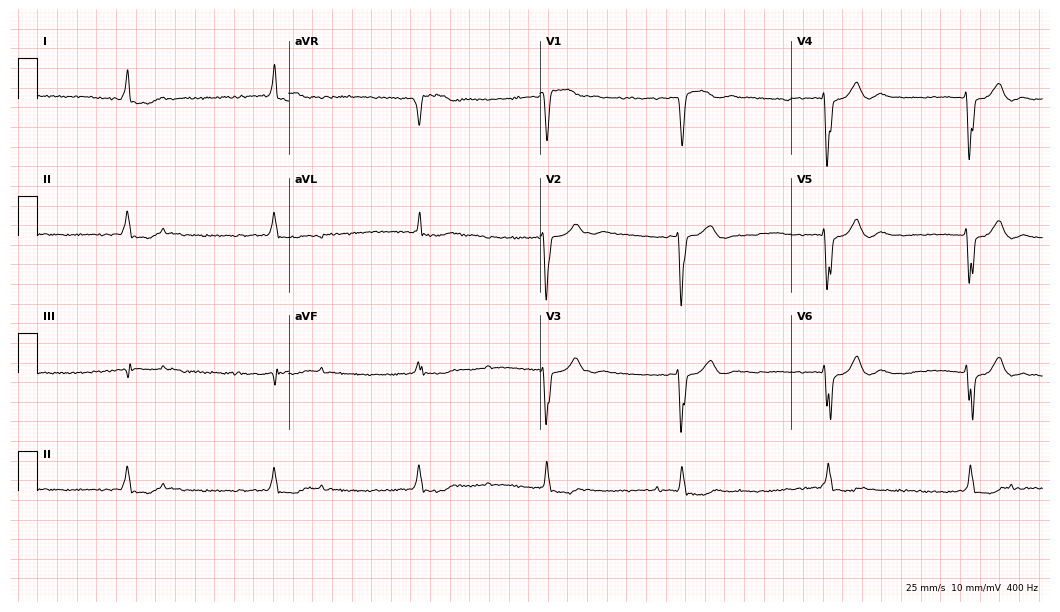
Resting 12-lead electrocardiogram (10.2-second recording at 400 Hz). Patient: a male, 82 years old. None of these six findings is recorded: first-degree AV block, right bundle branch block, left bundle branch block, sinus bradycardia, atrial fibrillation, sinus tachycardia.